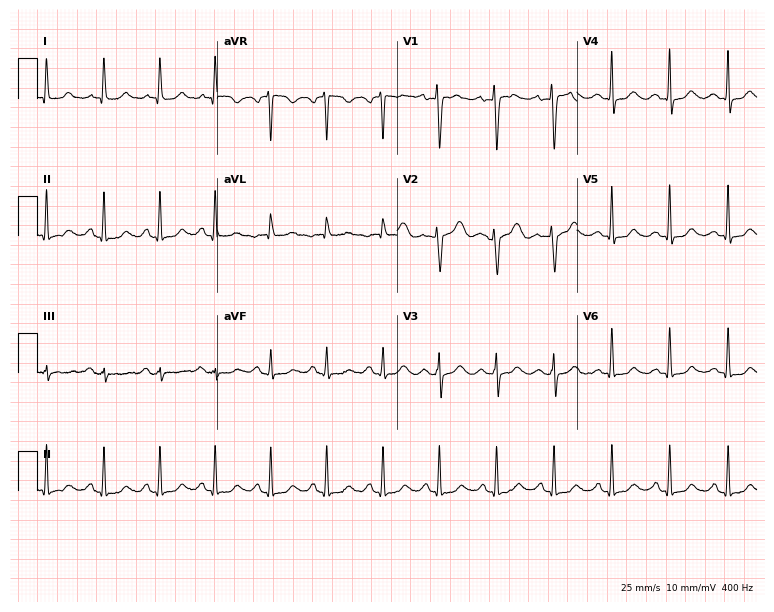
Electrocardiogram (7.3-second recording at 400 Hz), a female patient, 58 years old. Interpretation includes sinus tachycardia (a sinus rate of 100 beats per minute or more).